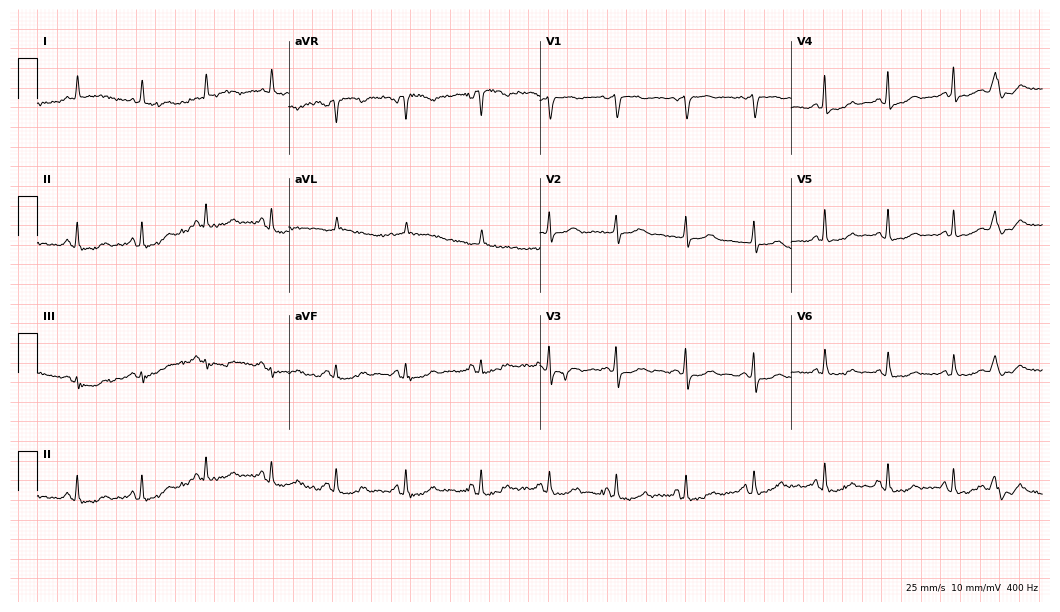
ECG (10.2-second recording at 400 Hz) — a woman, 80 years old. Labelled as a normal ECG.